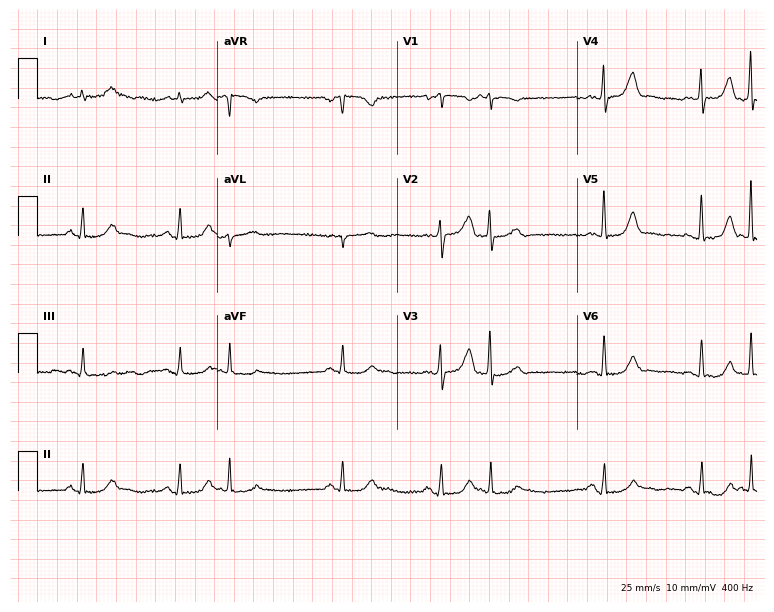
12-lead ECG (7.3-second recording at 400 Hz) from a 64-year-old male patient. Screened for six findings — first-degree AV block, right bundle branch block, left bundle branch block, sinus bradycardia, atrial fibrillation, sinus tachycardia — none is recorded. Only these six findings were labelled.